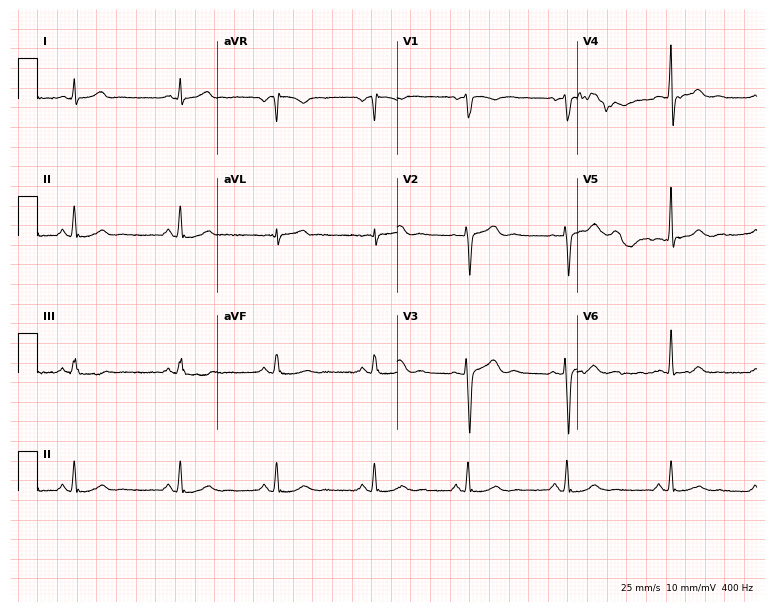
Resting 12-lead electrocardiogram (7.3-second recording at 400 Hz). Patient: a male, 63 years old. None of these six findings is recorded: first-degree AV block, right bundle branch block, left bundle branch block, sinus bradycardia, atrial fibrillation, sinus tachycardia.